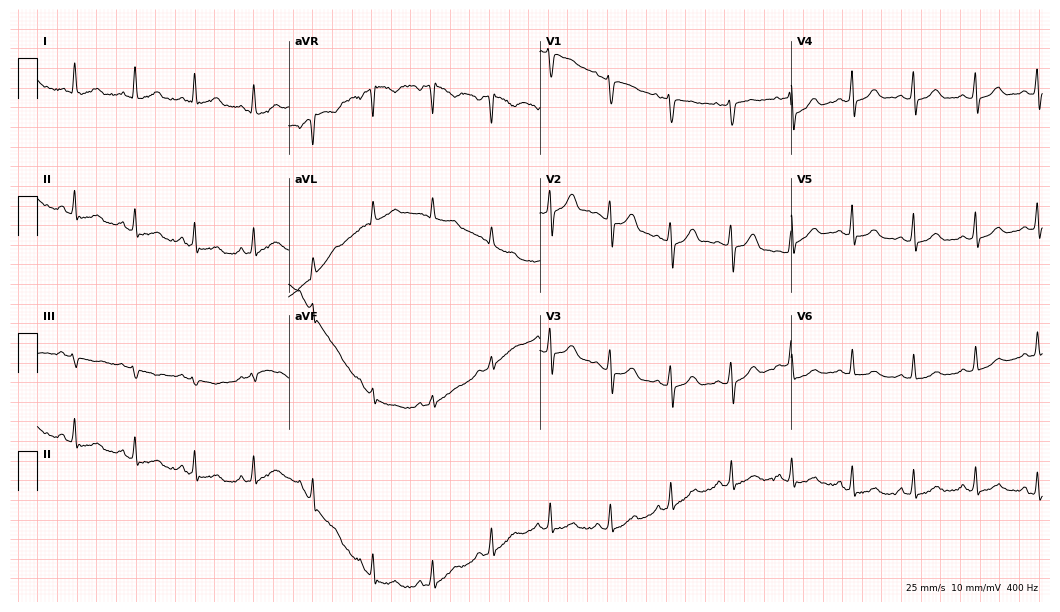
12-lead ECG (10.2-second recording at 400 Hz) from a 47-year-old woman. Labelled as a normal ECG.